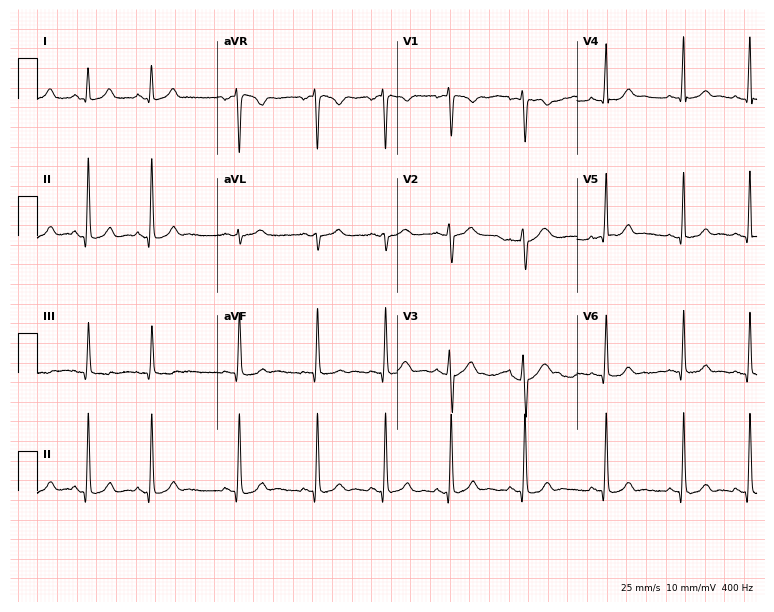
12-lead ECG (7.3-second recording at 400 Hz) from a female, 17 years old. Labelled as a normal ECG.